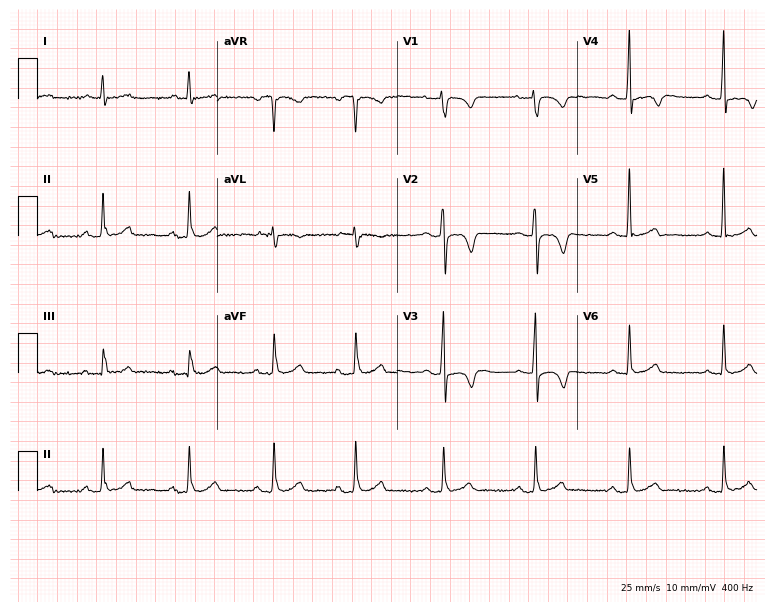
Standard 12-lead ECG recorded from a male patient, 57 years old. None of these six findings is recorded: first-degree AV block, right bundle branch block, left bundle branch block, sinus bradycardia, atrial fibrillation, sinus tachycardia.